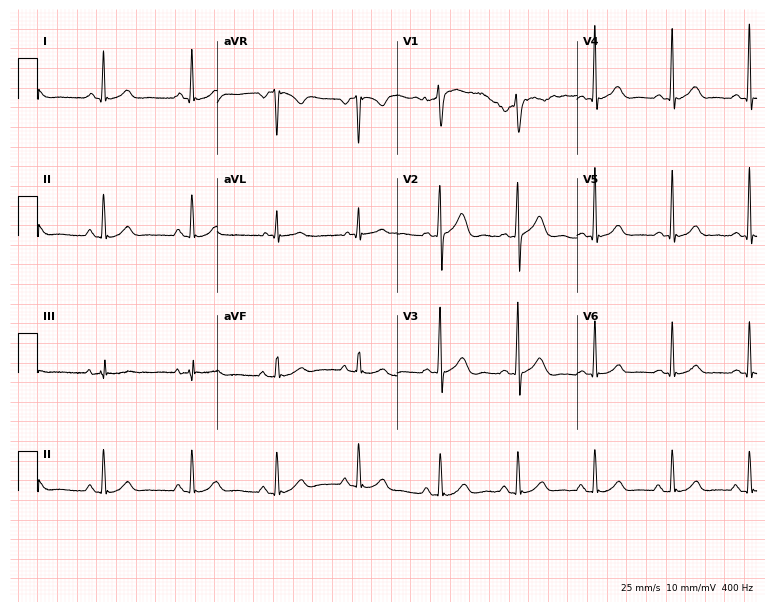
12-lead ECG from a male patient, 46 years old (7.3-second recording at 400 Hz). Recorded interpretation: within normal limits.